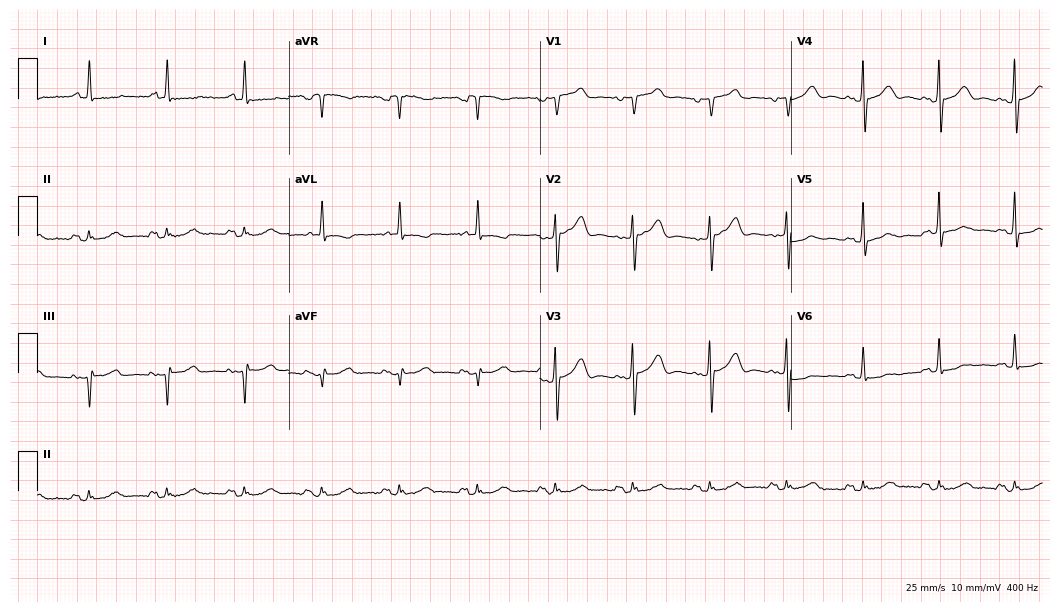
12-lead ECG from a female, 68 years old (10.2-second recording at 400 Hz). No first-degree AV block, right bundle branch block, left bundle branch block, sinus bradycardia, atrial fibrillation or sinus tachycardia recorded for this tracing.